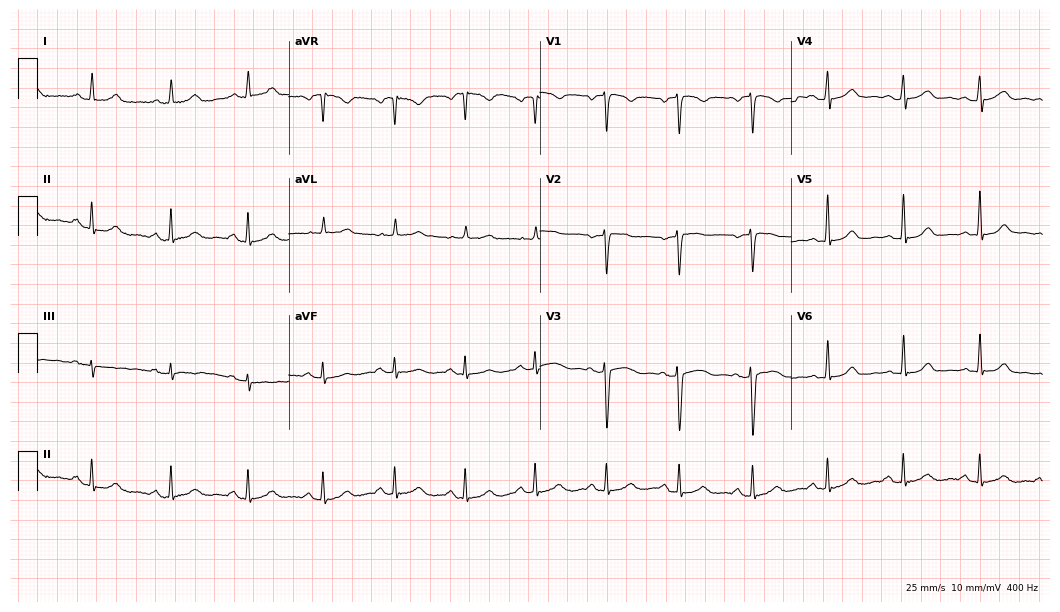
ECG — a woman, 53 years old. Labelled as a normal ECG.